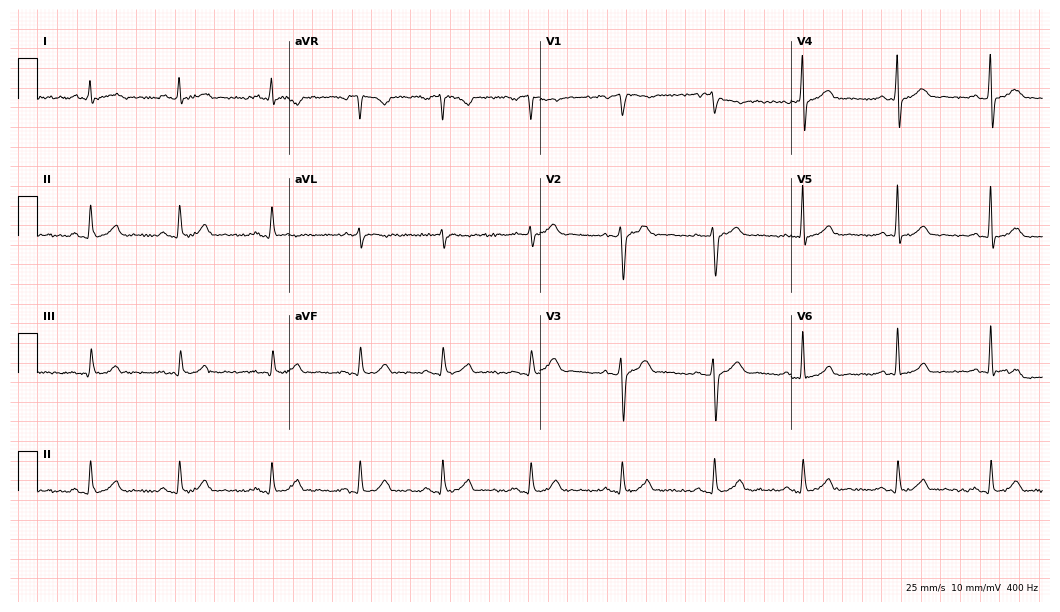
ECG (10.2-second recording at 400 Hz) — a man, 60 years old. Screened for six findings — first-degree AV block, right bundle branch block (RBBB), left bundle branch block (LBBB), sinus bradycardia, atrial fibrillation (AF), sinus tachycardia — none is recorded.